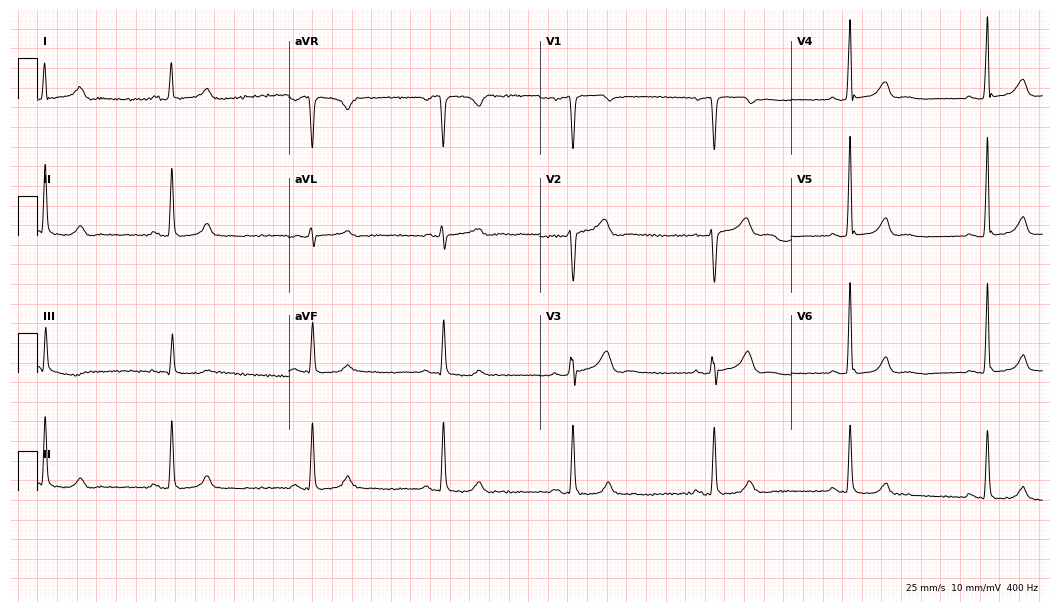
ECG — a woman, 64 years old. Findings include sinus bradycardia (a sinus rate of 50 beats per minute or less).